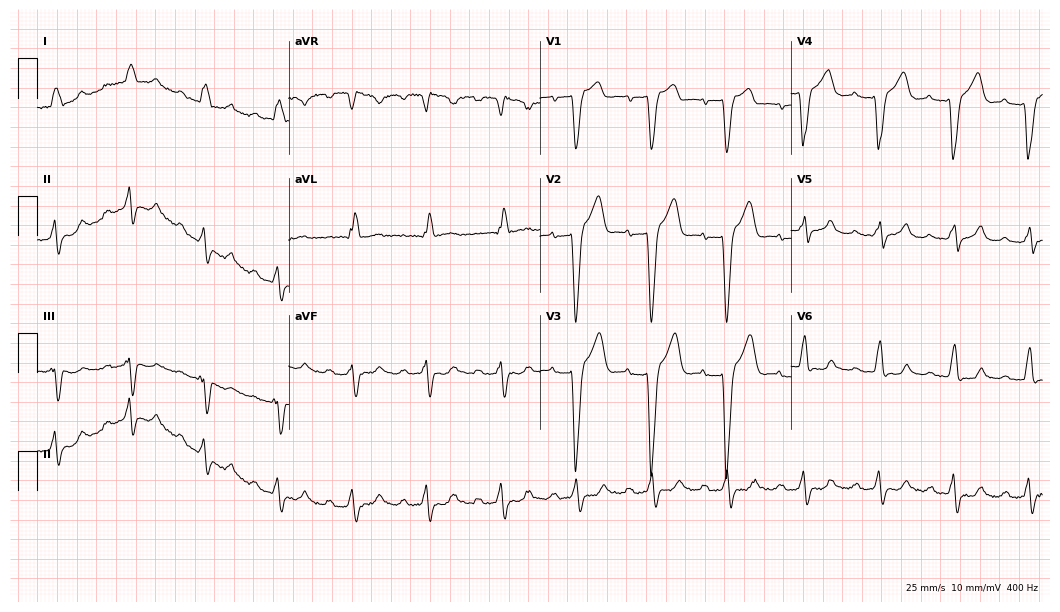
Standard 12-lead ECG recorded from a 51-year-old female. The tracing shows first-degree AV block, left bundle branch block.